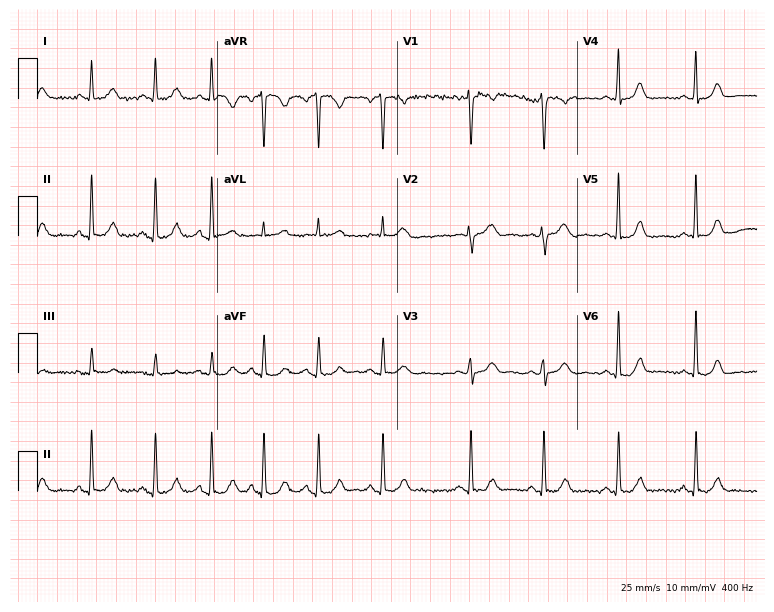
Standard 12-lead ECG recorded from a female patient, 49 years old (7.3-second recording at 400 Hz). Read as a normal ECG.